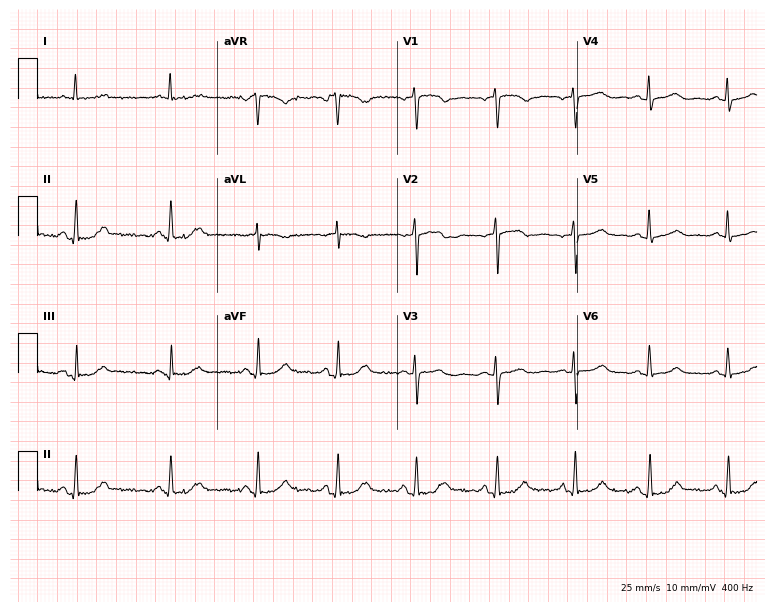
Electrocardiogram (7.3-second recording at 400 Hz), a woman, 56 years old. Overall reading on record: normal ECG.